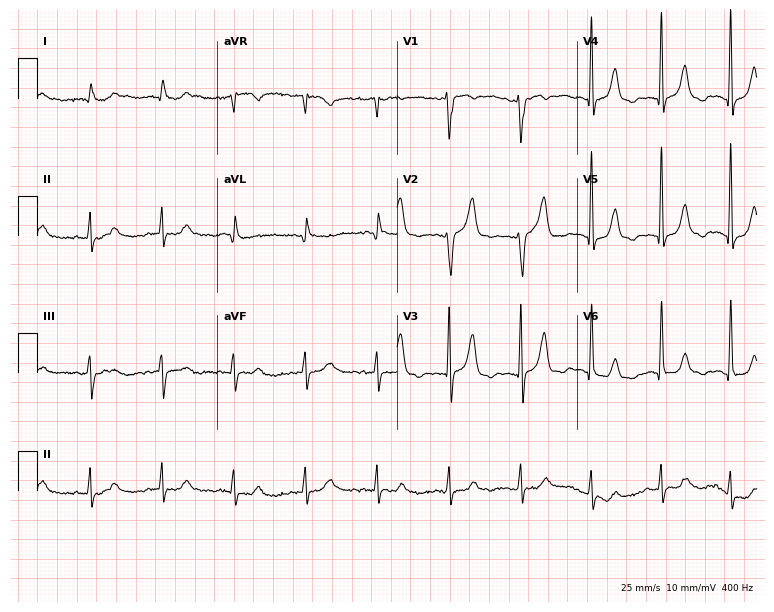
12-lead ECG from a man, 72 years old. Recorded interpretation: within normal limits.